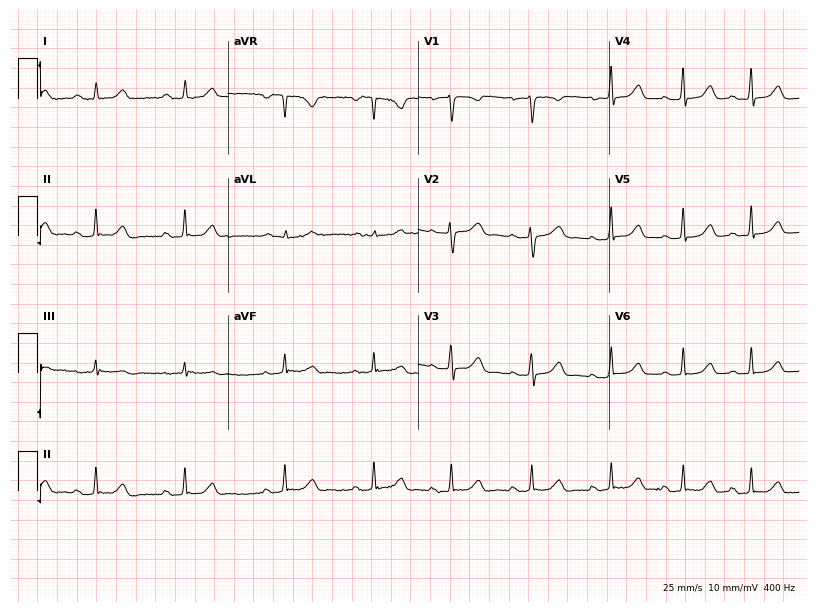
Resting 12-lead electrocardiogram (7.8-second recording at 400 Hz). Patient: a woman, 22 years old. None of these six findings is recorded: first-degree AV block, right bundle branch block, left bundle branch block, sinus bradycardia, atrial fibrillation, sinus tachycardia. Findings outside these six are not listed.